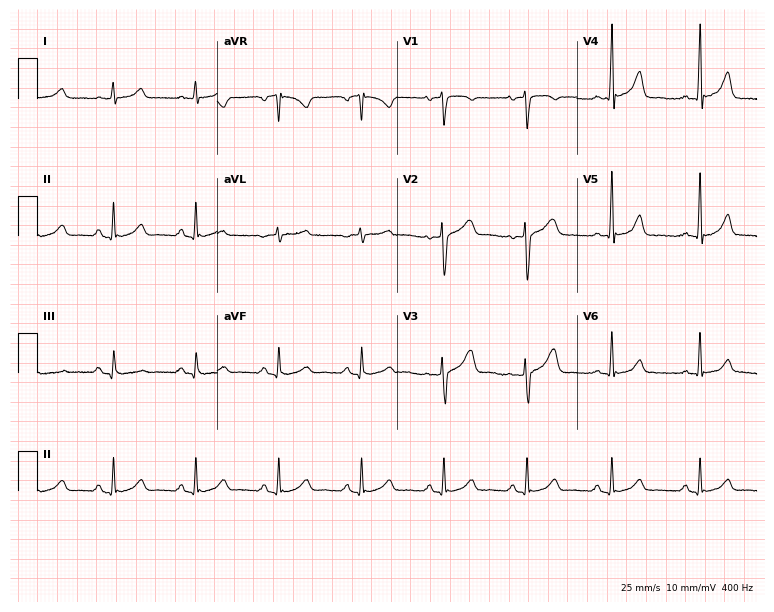
Electrocardiogram, a female, 41 years old. Overall reading on record: normal ECG.